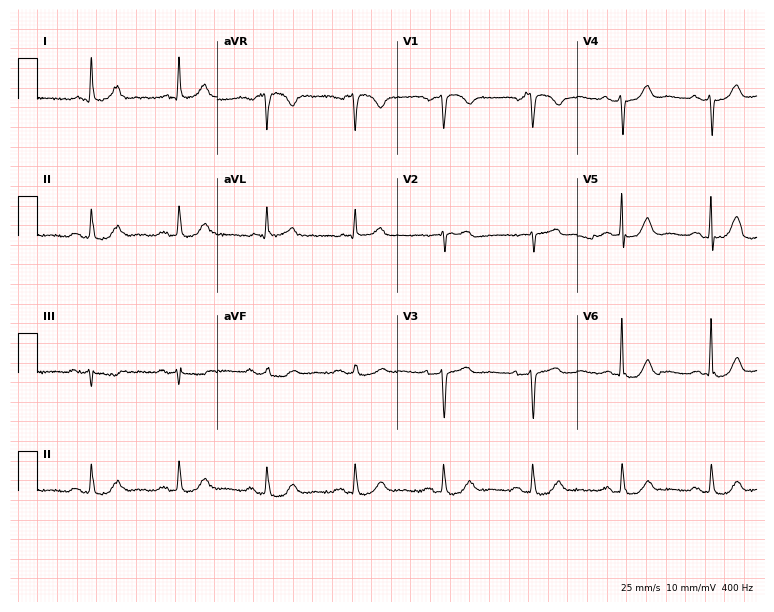
ECG — a female patient, 85 years old. Labelled as a normal ECG.